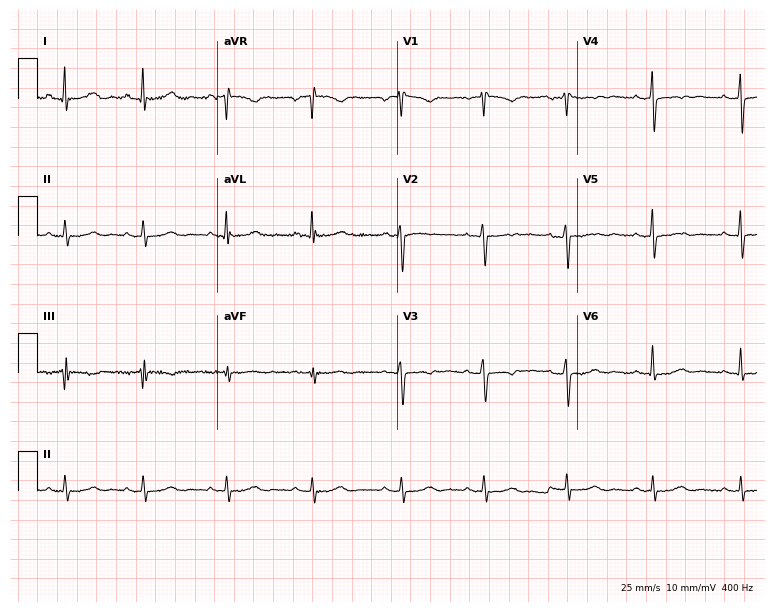
Electrocardiogram (7.3-second recording at 400 Hz), a 50-year-old woman. Of the six screened findings (first-degree AV block, right bundle branch block, left bundle branch block, sinus bradycardia, atrial fibrillation, sinus tachycardia), none is recorded. Only these six findings were labelled.